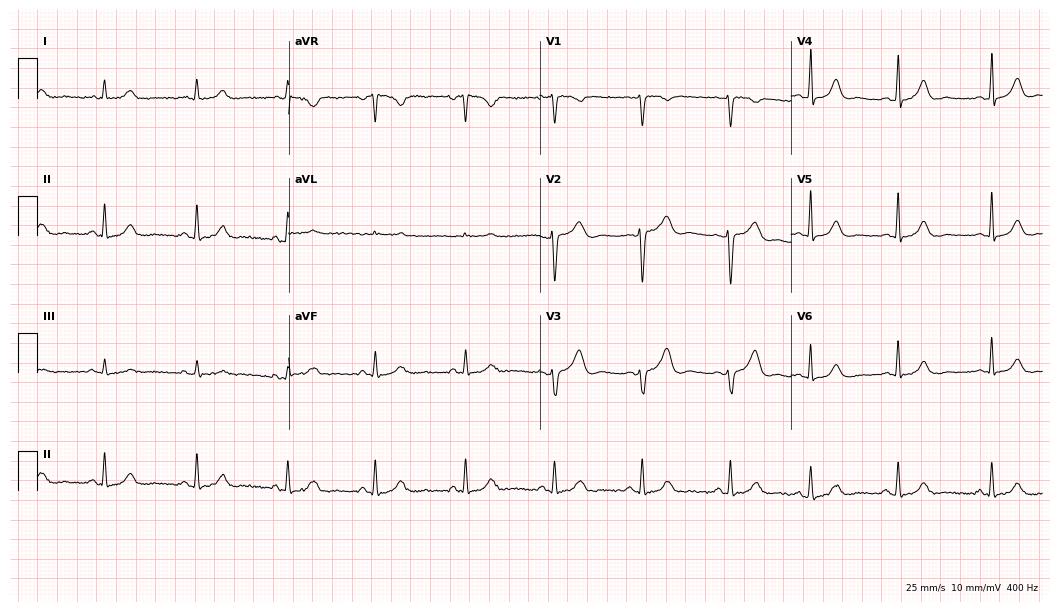
12-lead ECG (10.2-second recording at 400 Hz) from a female, 39 years old. Labelled as a normal ECG.